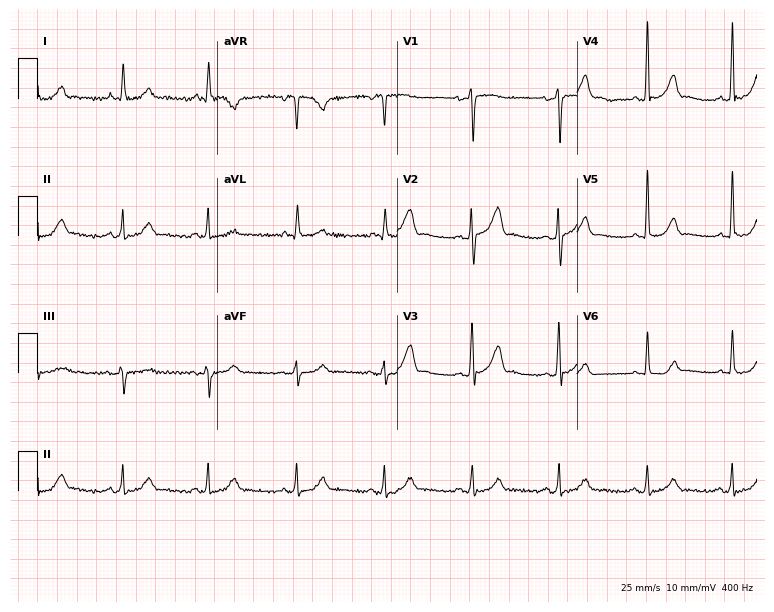
12-lead ECG (7.3-second recording at 400 Hz) from a male, 67 years old. Screened for six findings — first-degree AV block, right bundle branch block, left bundle branch block, sinus bradycardia, atrial fibrillation, sinus tachycardia — none is recorded. Other findings, if any, are not listed.